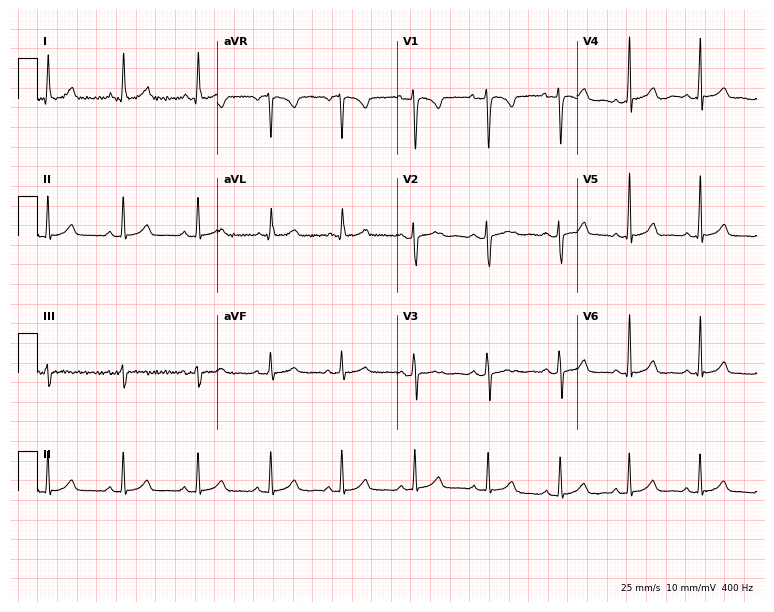
Standard 12-lead ECG recorded from an 18-year-old female. Read as a normal ECG.